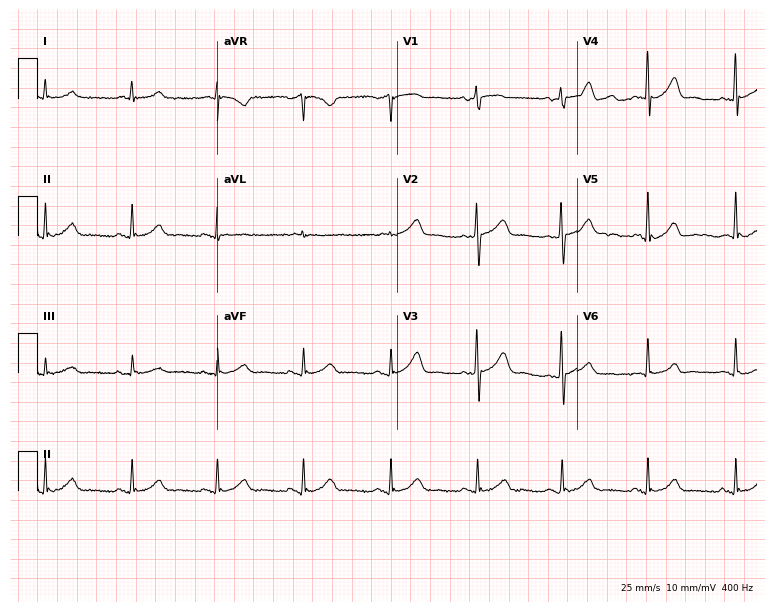
Standard 12-lead ECG recorded from a 73-year-old male patient. Read as a normal ECG.